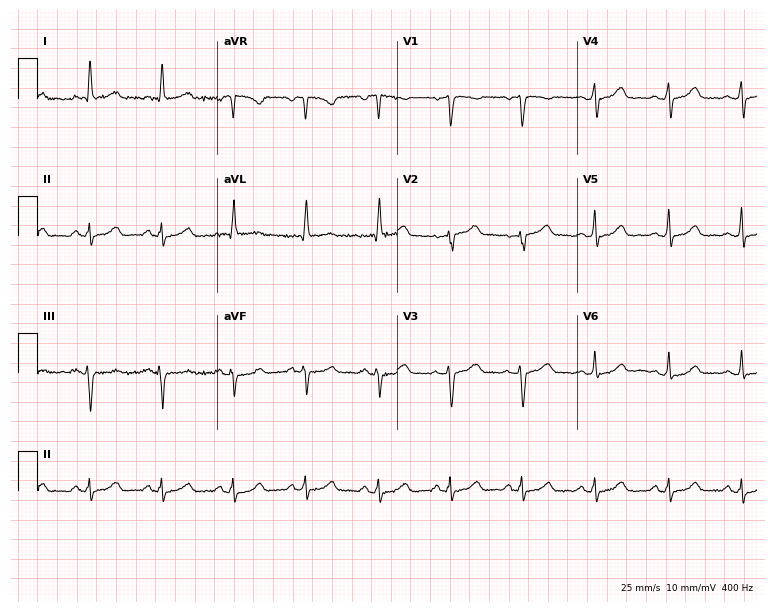
Resting 12-lead electrocardiogram (7.3-second recording at 400 Hz). Patient: a female, 53 years old. None of these six findings is recorded: first-degree AV block, right bundle branch block (RBBB), left bundle branch block (LBBB), sinus bradycardia, atrial fibrillation (AF), sinus tachycardia.